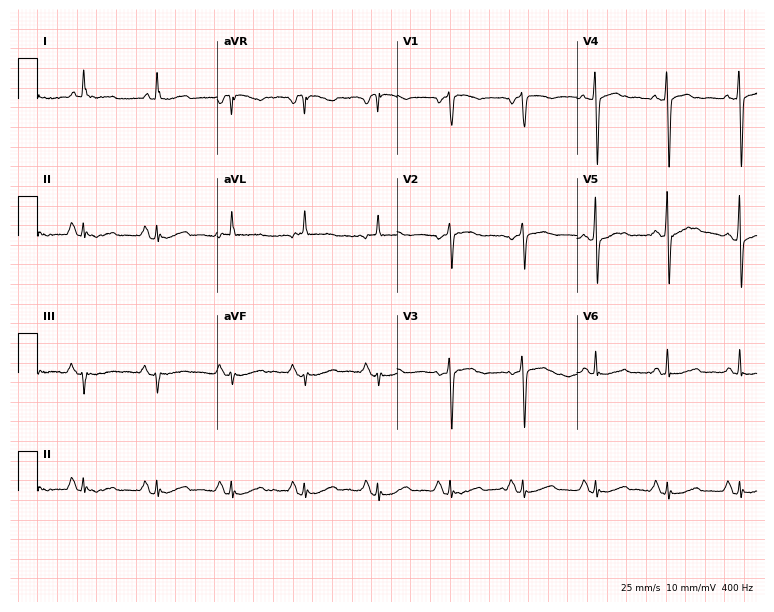
12-lead ECG from an 84-year-old female patient. Labelled as a normal ECG.